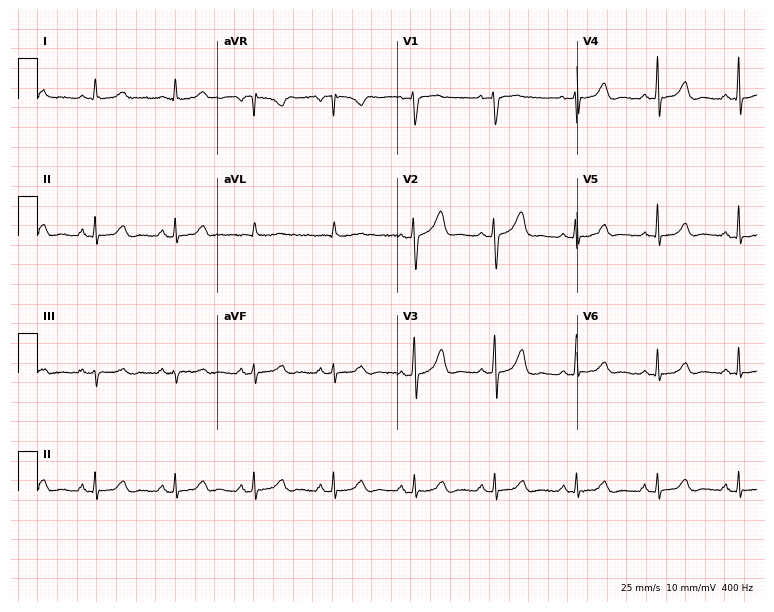
Resting 12-lead electrocardiogram. Patient: a female, 54 years old. None of these six findings is recorded: first-degree AV block, right bundle branch block, left bundle branch block, sinus bradycardia, atrial fibrillation, sinus tachycardia.